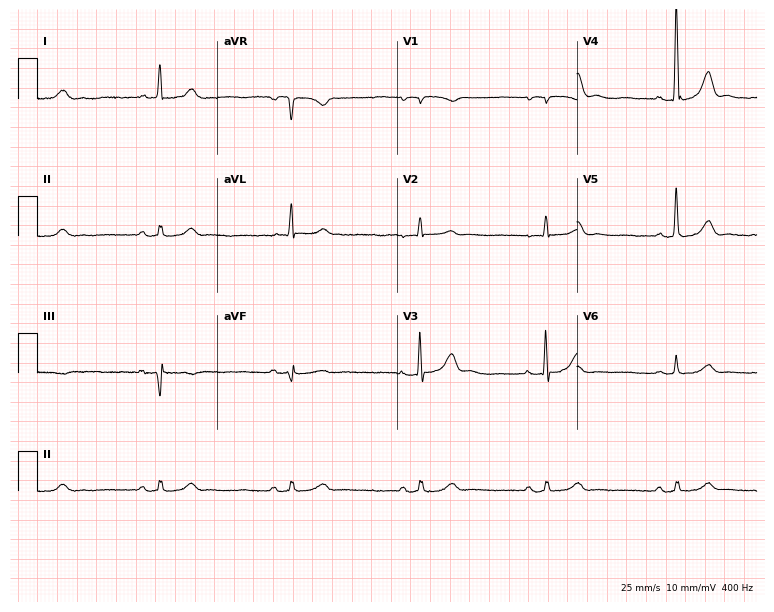
12-lead ECG from a man, 72 years old. No first-degree AV block, right bundle branch block (RBBB), left bundle branch block (LBBB), sinus bradycardia, atrial fibrillation (AF) or sinus tachycardia recorded for this tracing.